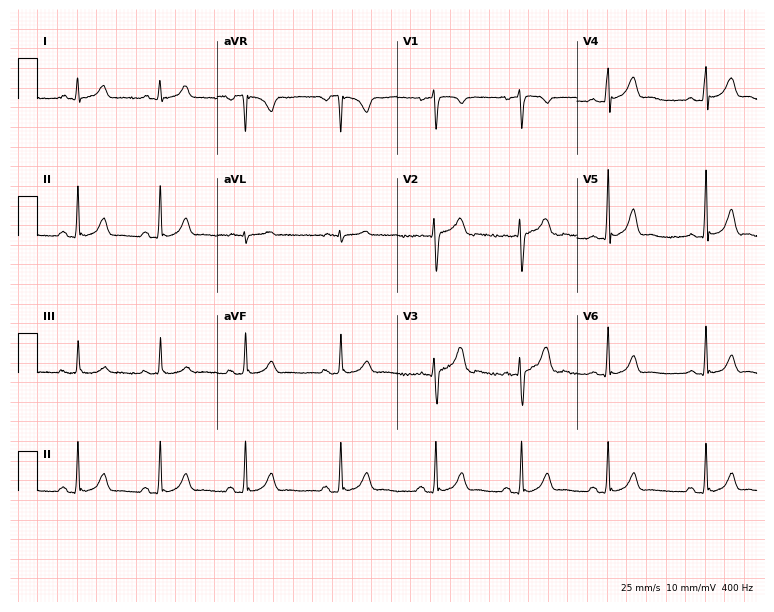
ECG — a female, 21 years old. Labelled as a normal ECG.